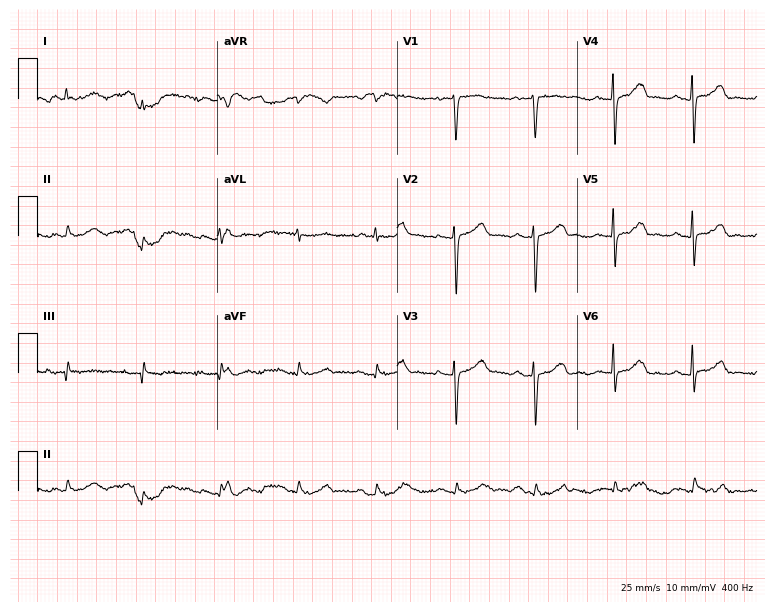
Resting 12-lead electrocardiogram. Patient: a 67-year-old woman. Read as a normal ECG.